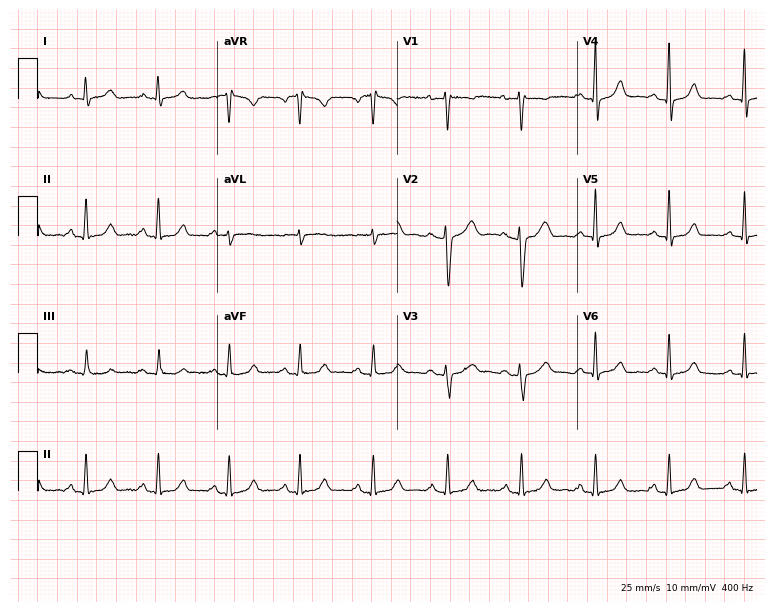
Resting 12-lead electrocardiogram (7.3-second recording at 400 Hz). Patient: a 44-year-old female. Read as a normal ECG.